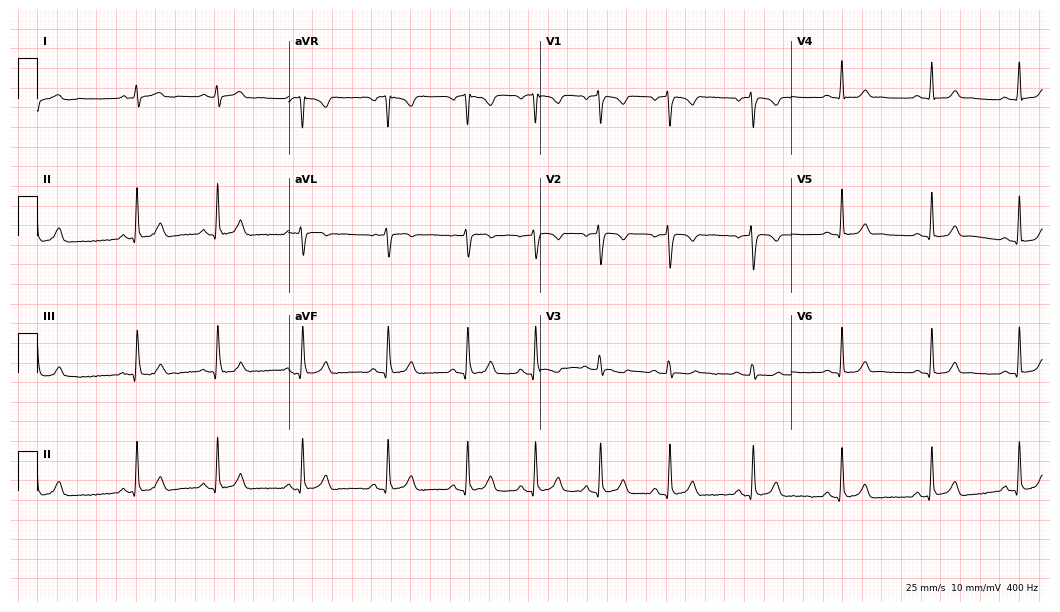
Electrocardiogram (10.2-second recording at 400 Hz), a 19-year-old woman. Overall reading on record: normal ECG.